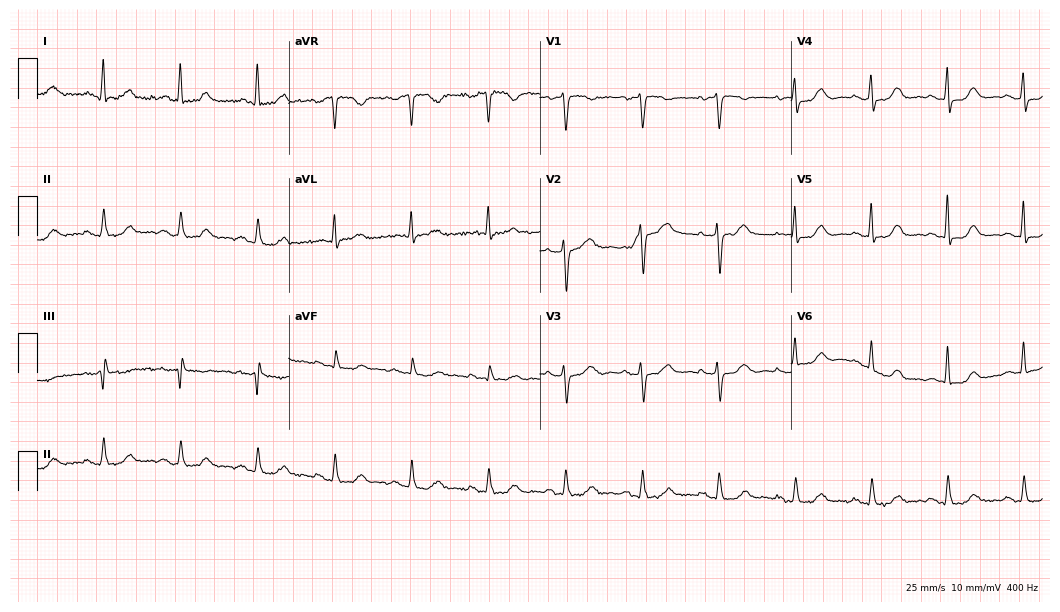
Resting 12-lead electrocardiogram (10.2-second recording at 400 Hz). Patient: a female, 86 years old. Read as a normal ECG.